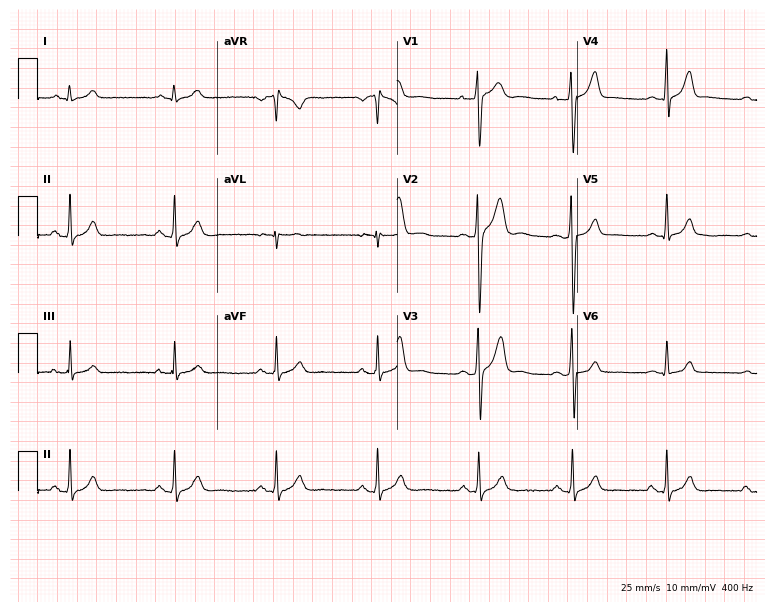
Standard 12-lead ECG recorded from a man, 26 years old. None of these six findings is recorded: first-degree AV block, right bundle branch block, left bundle branch block, sinus bradycardia, atrial fibrillation, sinus tachycardia. Findings outside these six are not listed.